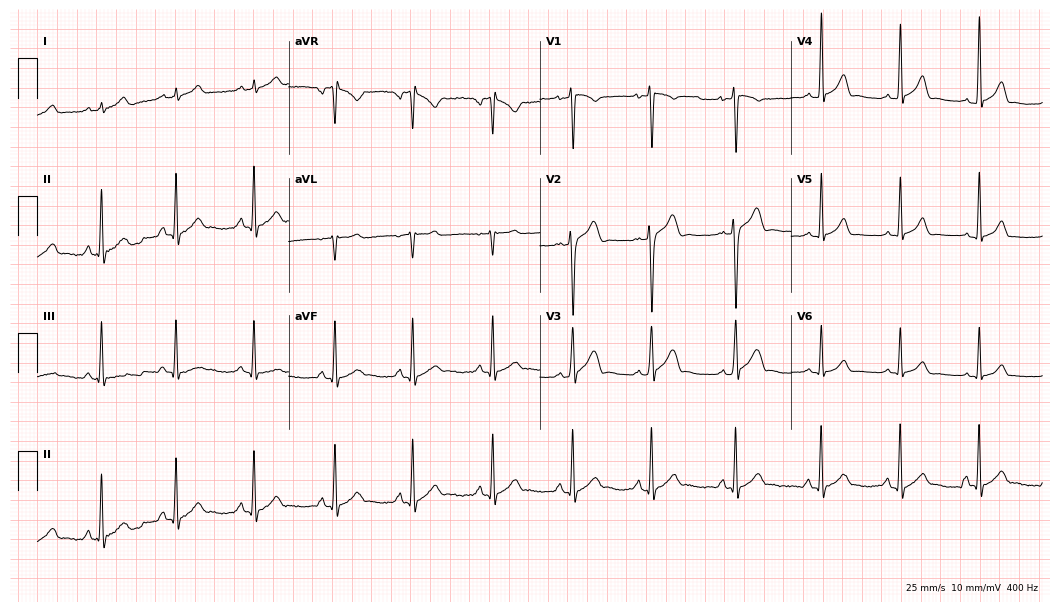
Standard 12-lead ECG recorded from a male patient, 17 years old (10.2-second recording at 400 Hz). Read as a normal ECG.